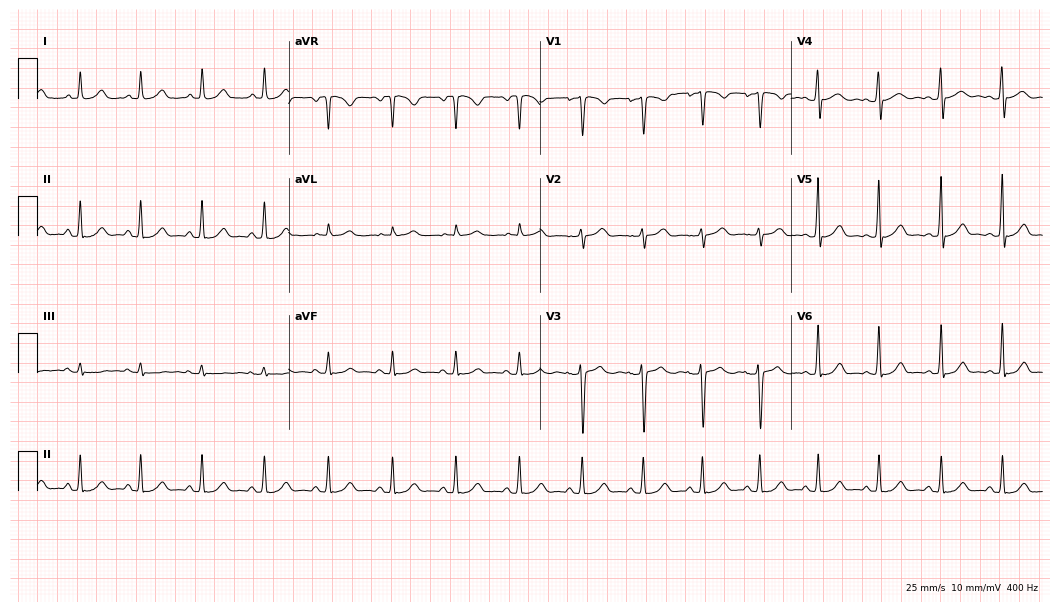
12-lead ECG from a 26-year-old woman. Screened for six findings — first-degree AV block, right bundle branch block (RBBB), left bundle branch block (LBBB), sinus bradycardia, atrial fibrillation (AF), sinus tachycardia — none is recorded.